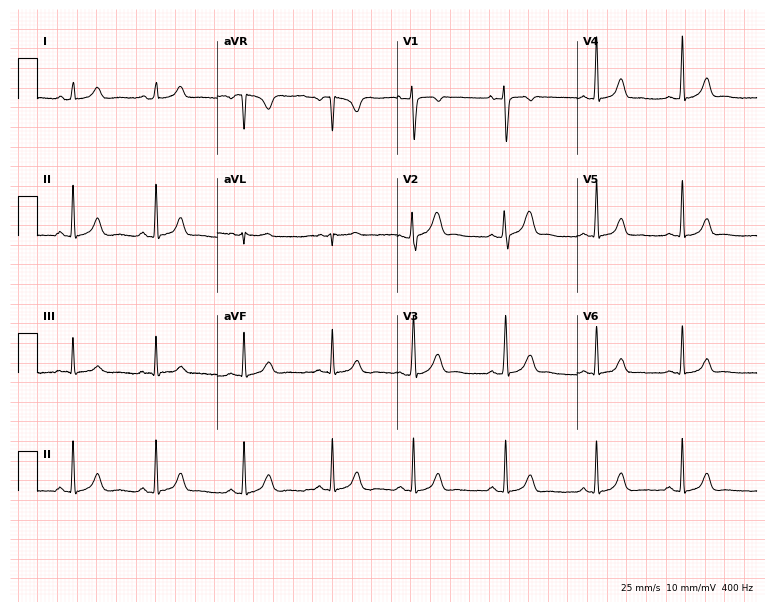
12-lead ECG from a 19-year-old female patient. Recorded interpretation: within normal limits.